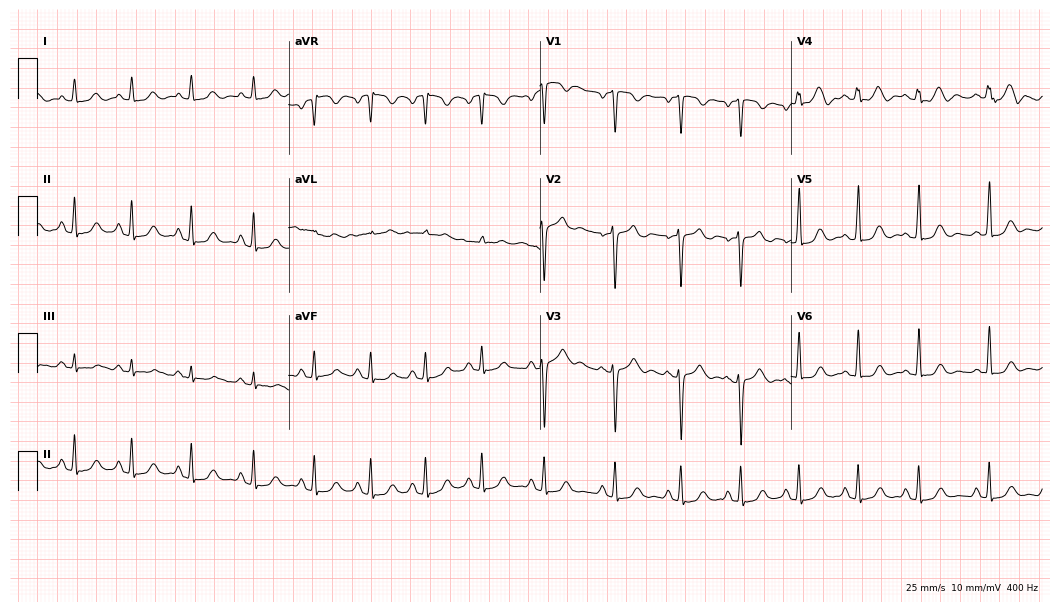
12-lead ECG from a 30-year-old woman. Recorded interpretation: within normal limits.